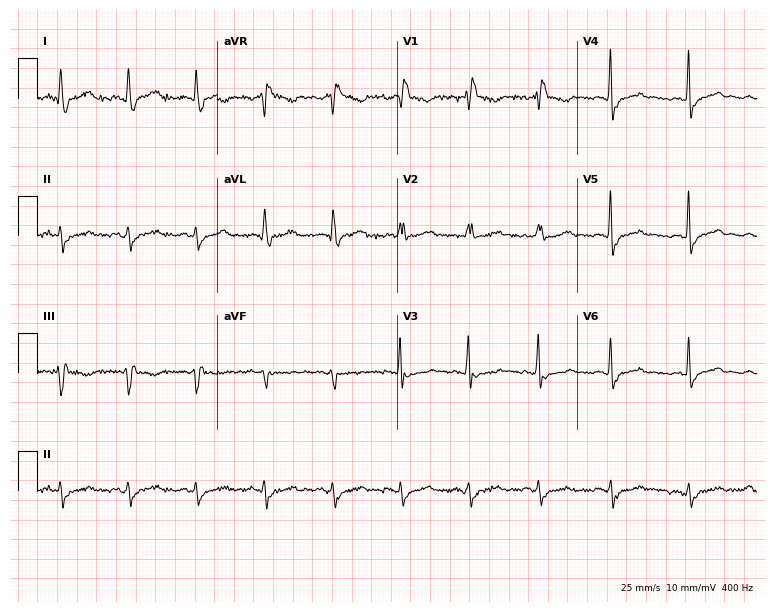
12-lead ECG from a female patient, 71 years old. Shows right bundle branch block.